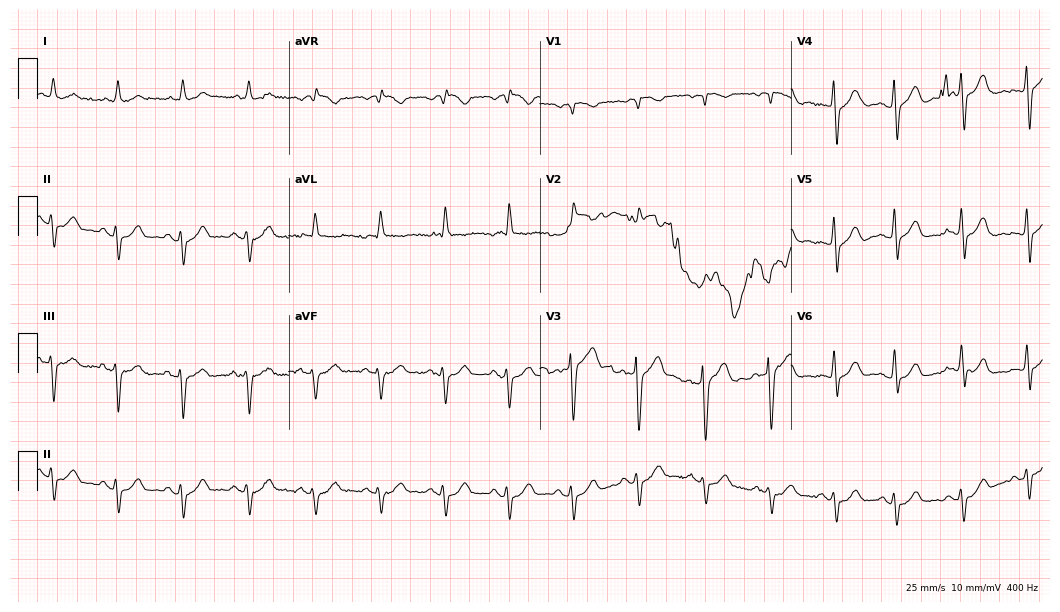
Standard 12-lead ECG recorded from a 66-year-old female patient. None of these six findings is recorded: first-degree AV block, right bundle branch block, left bundle branch block, sinus bradycardia, atrial fibrillation, sinus tachycardia.